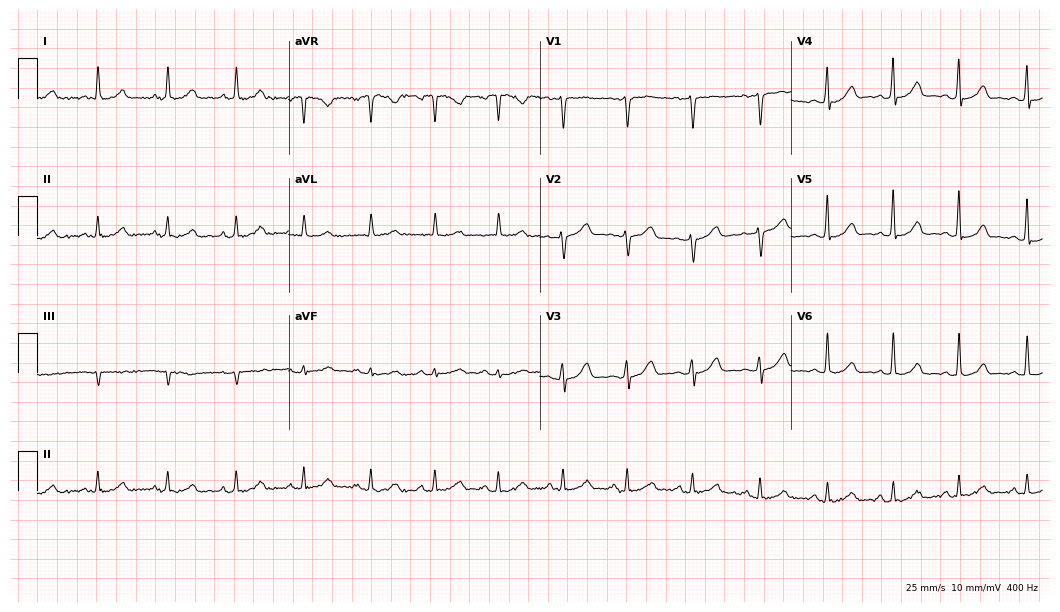
ECG (10.2-second recording at 400 Hz) — a female, 41 years old. Labelled as a normal ECG.